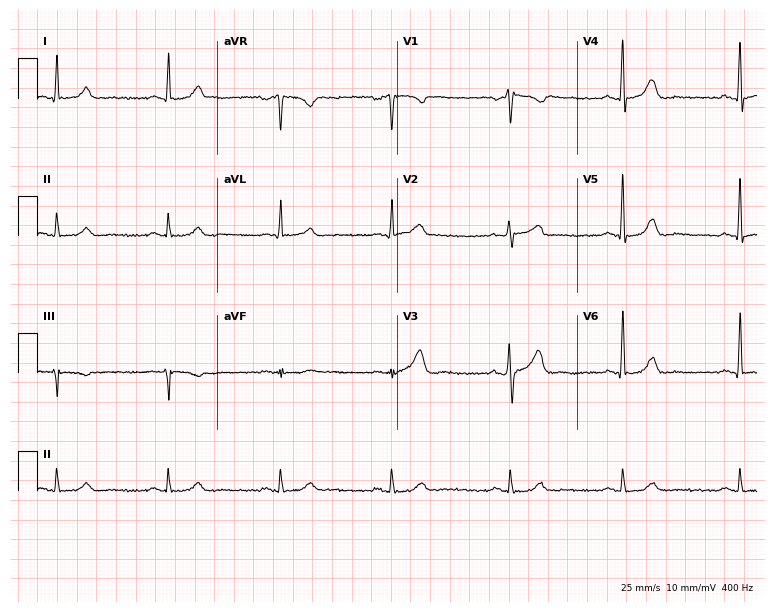
12-lead ECG from a 53-year-old male patient (7.3-second recording at 400 Hz). Recorded interpretation: within normal limits.